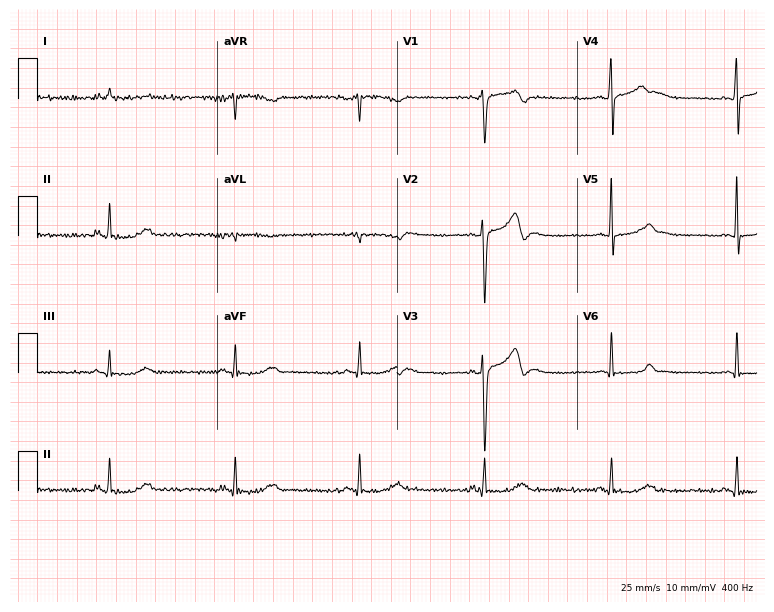
ECG (7.3-second recording at 400 Hz) — a male patient, 44 years old. Findings include sinus bradycardia (a sinus rate of 50 beats per minute or less).